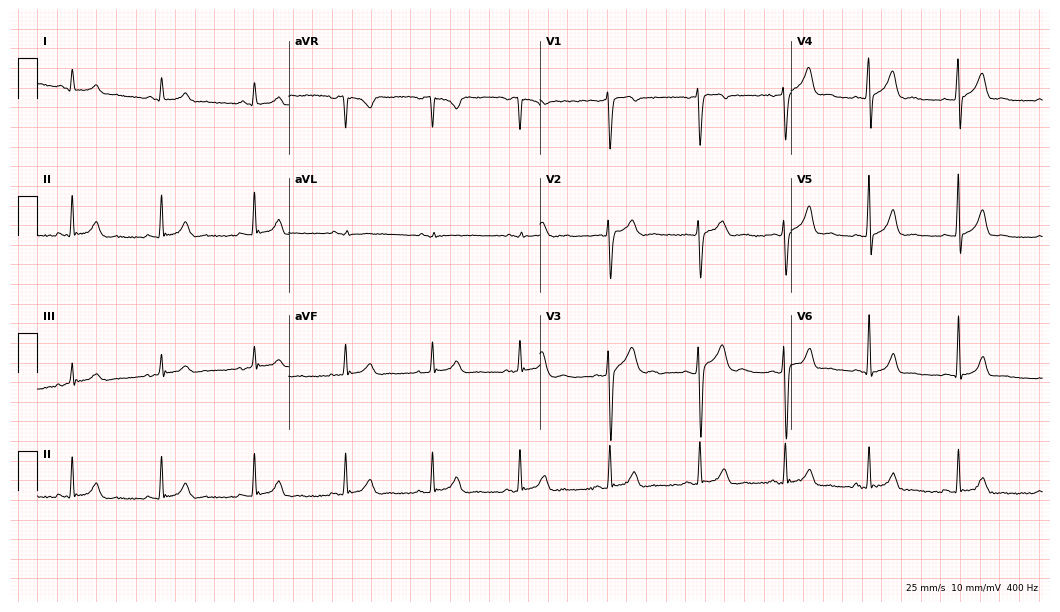
Standard 12-lead ECG recorded from a 30-year-old male patient (10.2-second recording at 400 Hz). Read as a normal ECG.